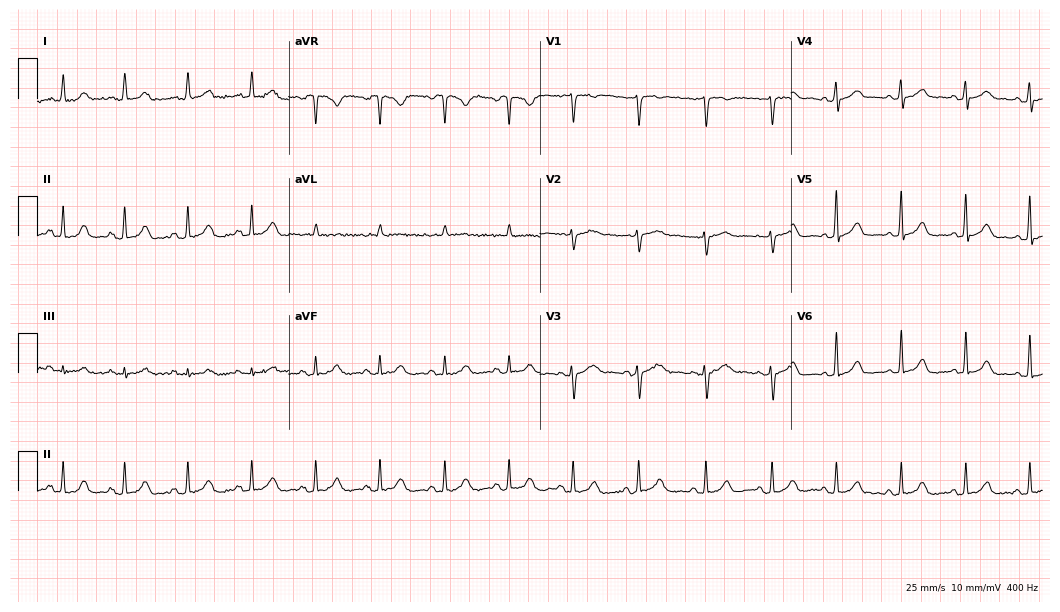
12-lead ECG from a female patient, 31 years old. Screened for six findings — first-degree AV block, right bundle branch block, left bundle branch block, sinus bradycardia, atrial fibrillation, sinus tachycardia — none is recorded. Other findings, if any, are not listed.